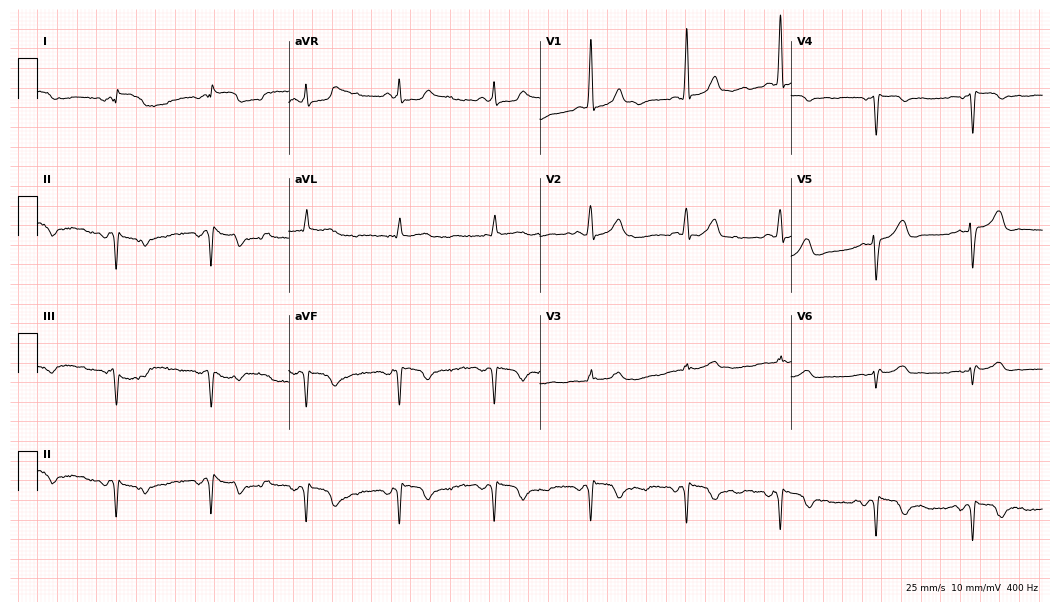
12-lead ECG from a 50-year-old woman. Screened for six findings — first-degree AV block, right bundle branch block (RBBB), left bundle branch block (LBBB), sinus bradycardia, atrial fibrillation (AF), sinus tachycardia — none is recorded.